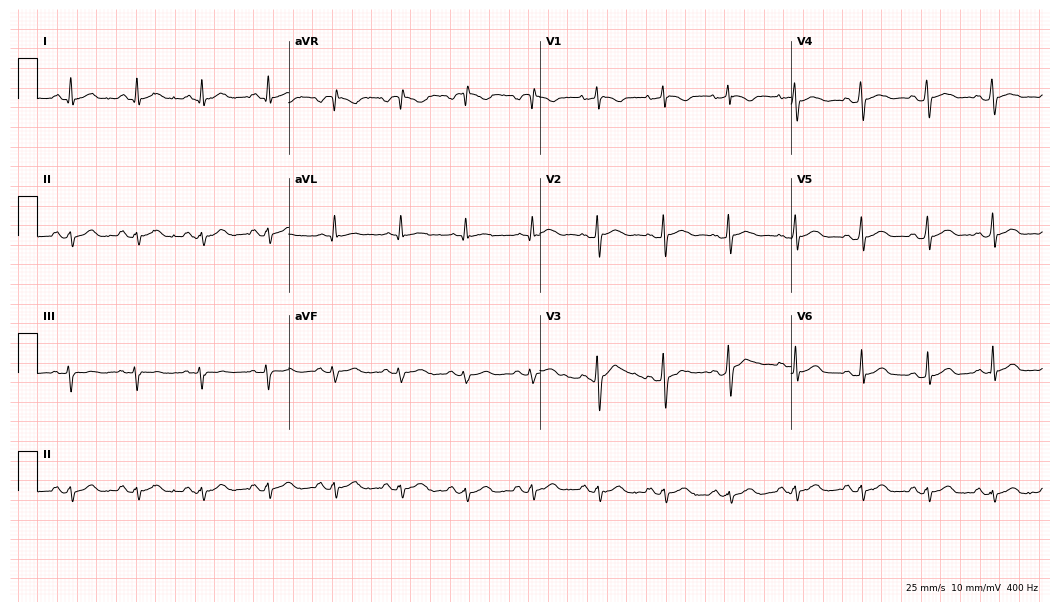
12-lead ECG (10.2-second recording at 400 Hz) from a male patient, 30 years old. Screened for six findings — first-degree AV block, right bundle branch block, left bundle branch block, sinus bradycardia, atrial fibrillation, sinus tachycardia — none is recorded. Only these six findings were labelled.